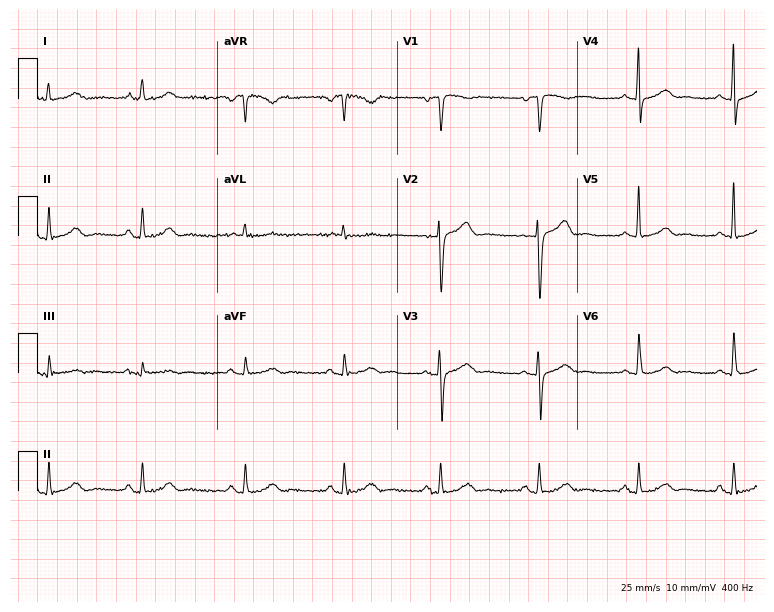
12-lead ECG from a man, 47 years old (7.3-second recording at 400 Hz). Recorded interpretation: within normal limits.